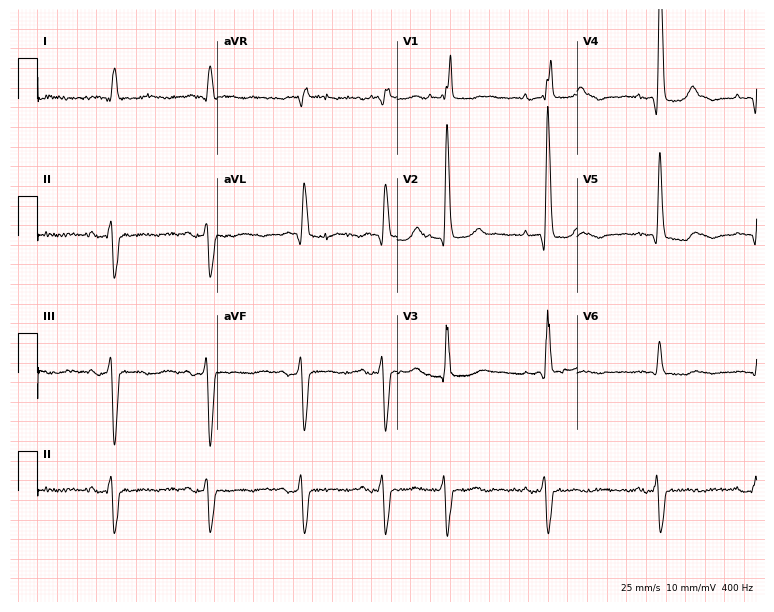
12-lead ECG from an 83-year-old male. Shows right bundle branch block.